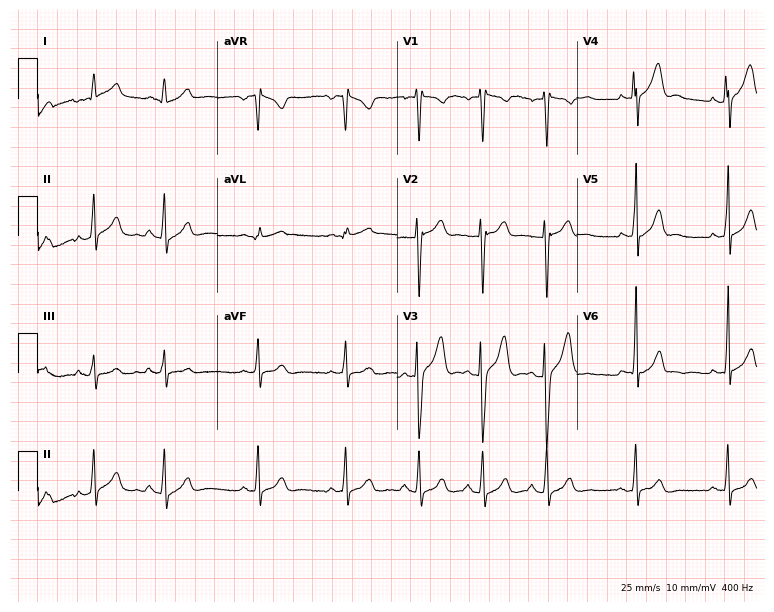
Electrocardiogram (7.3-second recording at 400 Hz), a male patient, 17 years old. Overall reading on record: normal ECG.